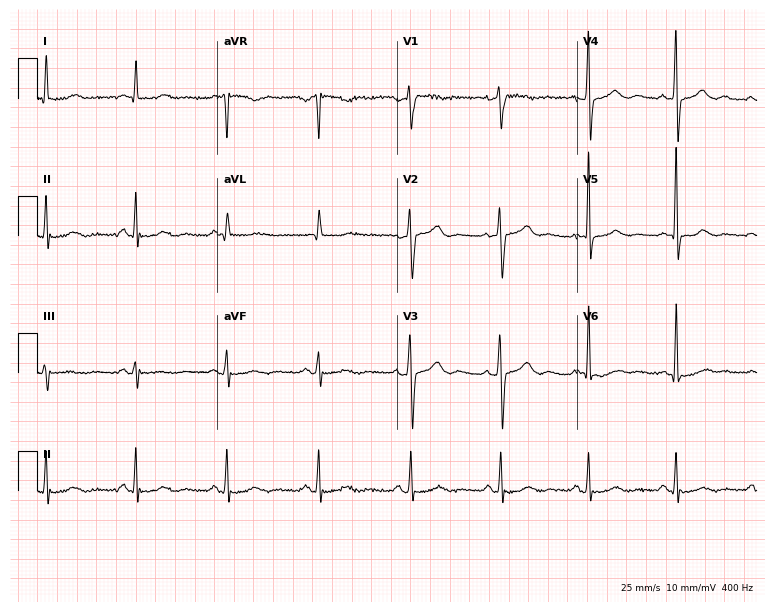
Electrocardiogram, a male patient, 66 years old. Of the six screened findings (first-degree AV block, right bundle branch block, left bundle branch block, sinus bradycardia, atrial fibrillation, sinus tachycardia), none is recorded.